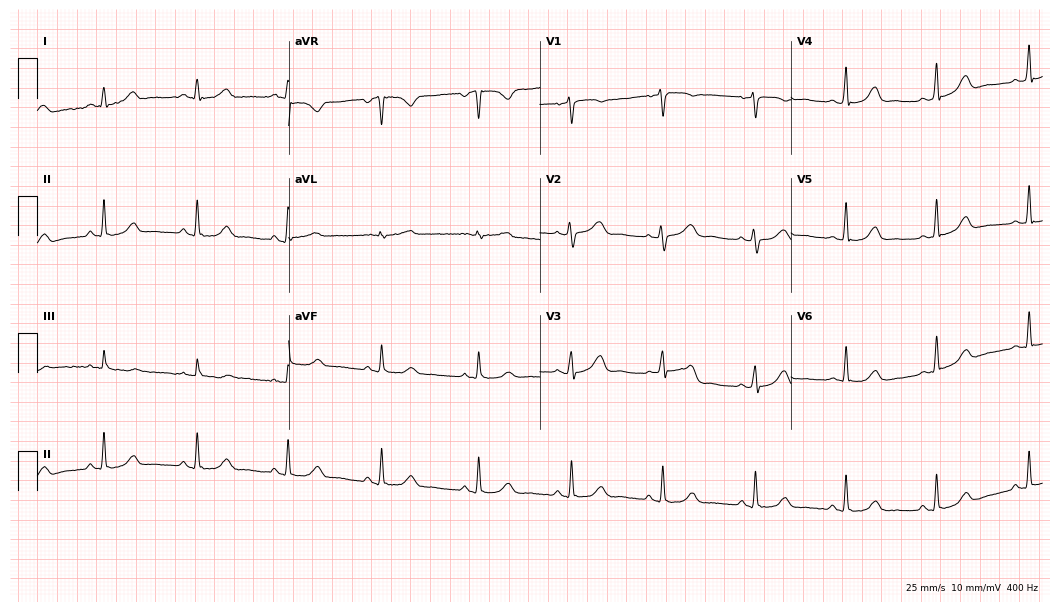
12-lead ECG from a female, 49 years old. Recorded interpretation: within normal limits.